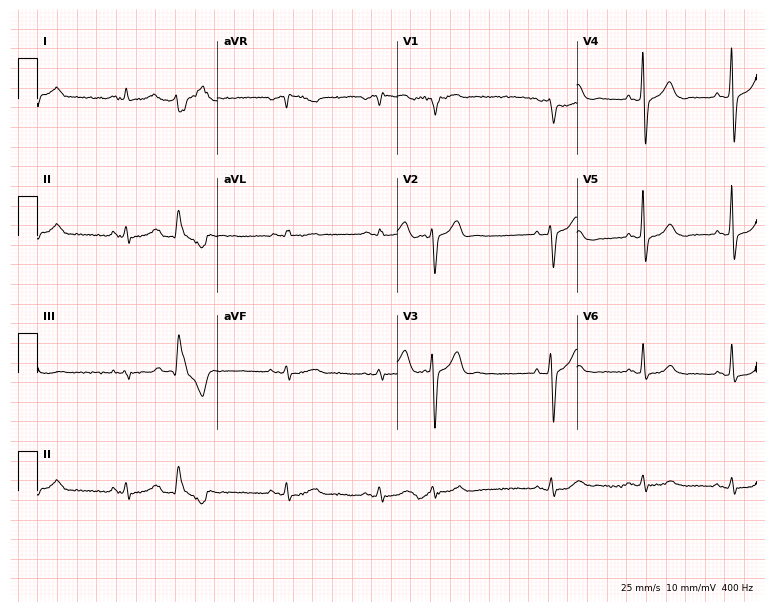
Resting 12-lead electrocardiogram. Patient: an 84-year-old man. None of these six findings is recorded: first-degree AV block, right bundle branch block (RBBB), left bundle branch block (LBBB), sinus bradycardia, atrial fibrillation (AF), sinus tachycardia. Findings outside these six are not listed.